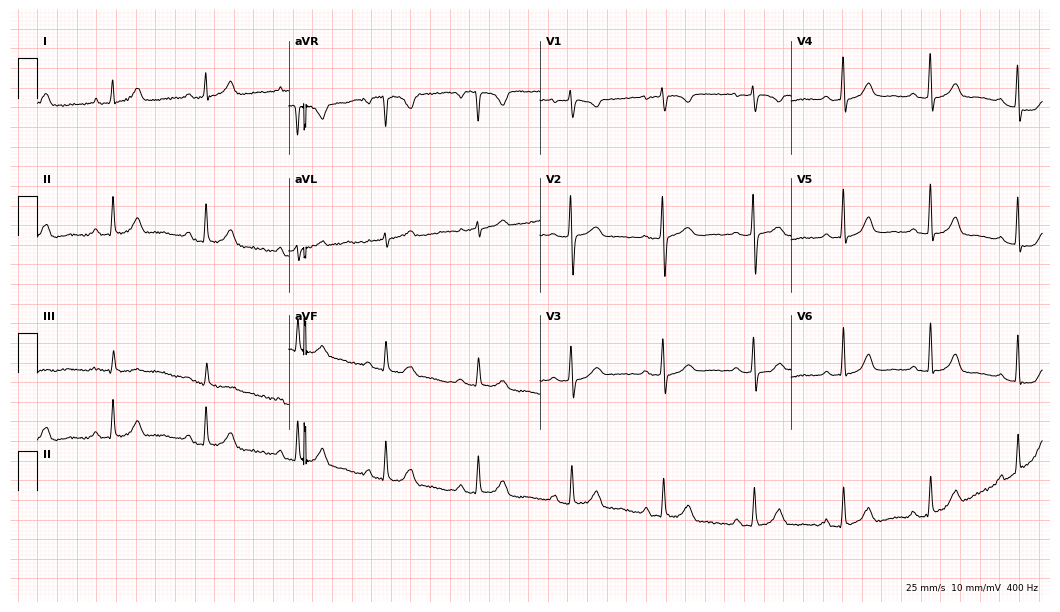
ECG — a female, 50 years old. Labelled as a normal ECG.